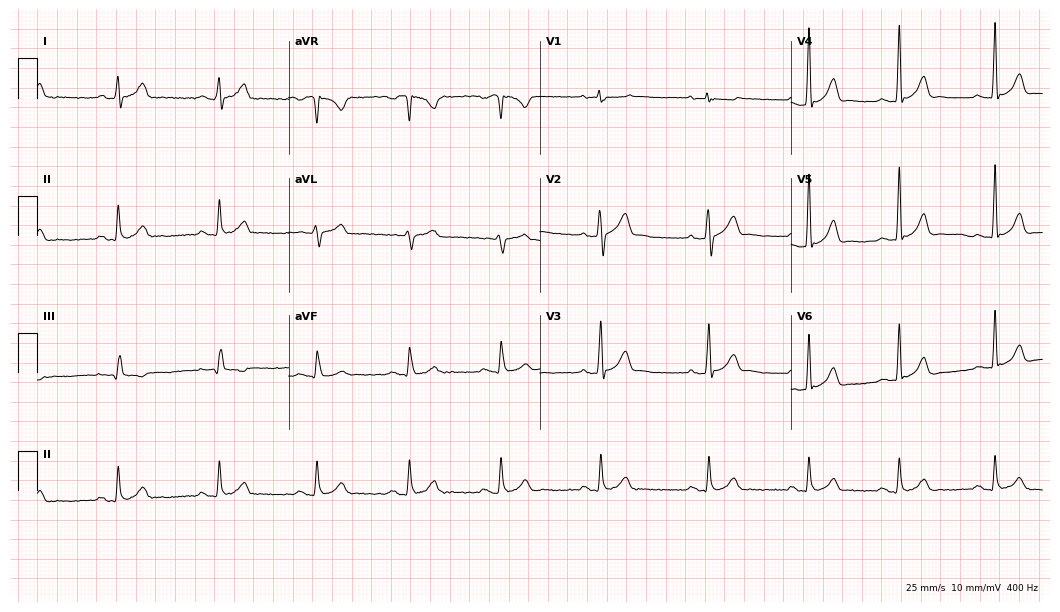
Resting 12-lead electrocardiogram. Patient: a male, 33 years old. Read as a normal ECG.